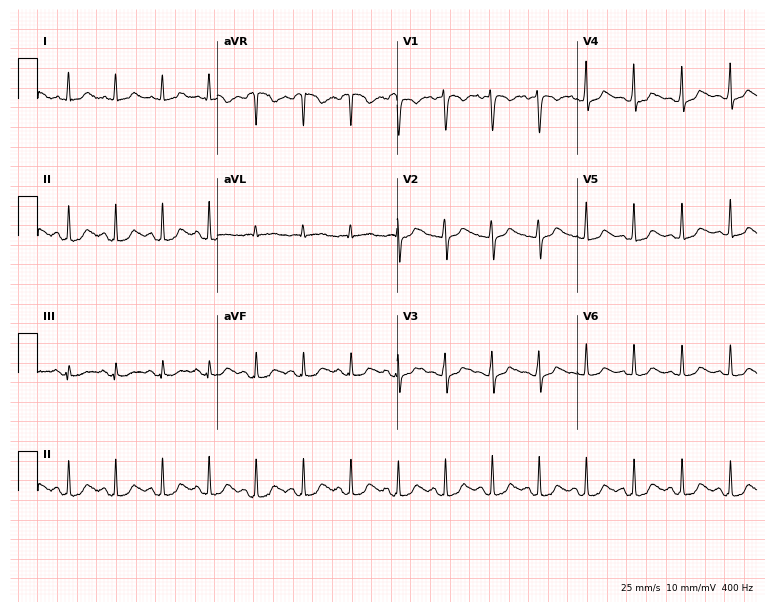
ECG (7.3-second recording at 400 Hz) — a 39-year-old woman. Screened for six findings — first-degree AV block, right bundle branch block, left bundle branch block, sinus bradycardia, atrial fibrillation, sinus tachycardia — none is recorded.